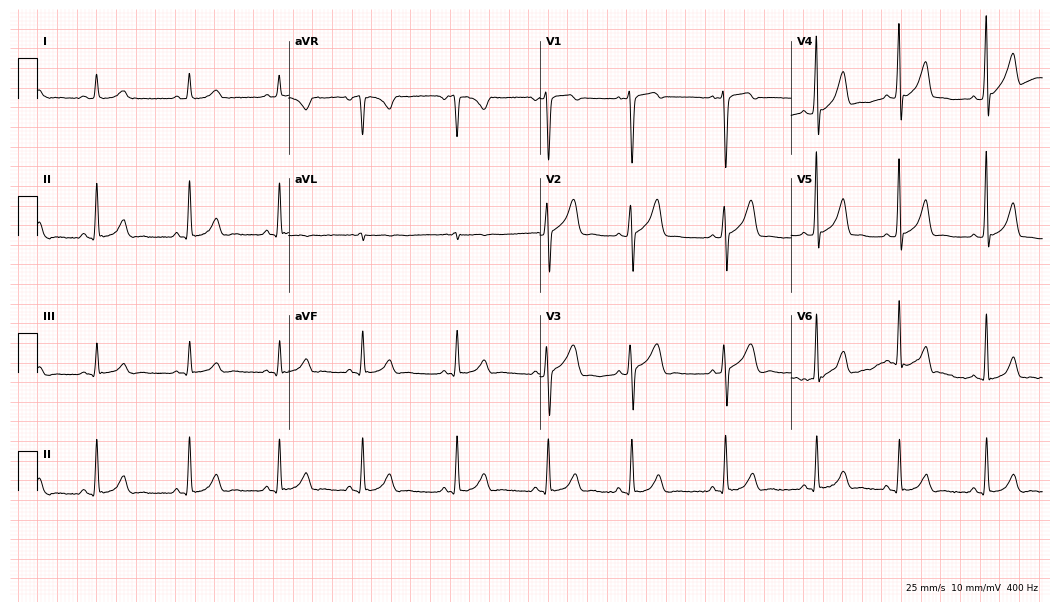
12-lead ECG (10.2-second recording at 400 Hz) from a man, 28 years old. Labelled as a normal ECG.